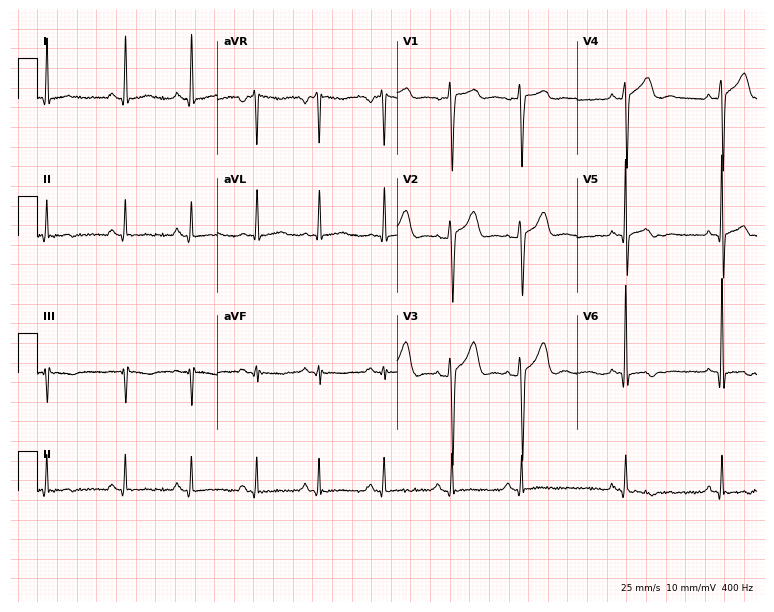
Electrocardiogram, a male patient, 30 years old. Overall reading on record: normal ECG.